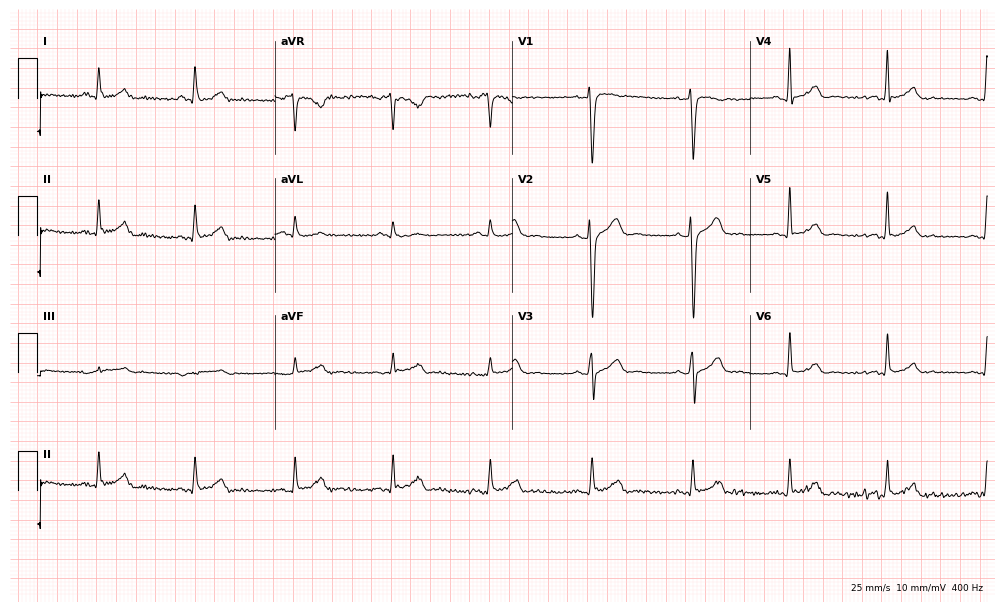
ECG — a 31-year-old male patient. Screened for six findings — first-degree AV block, right bundle branch block (RBBB), left bundle branch block (LBBB), sinus bradycardia, atrial fibrillation (AF), sinus tachycardia — none is recorded.